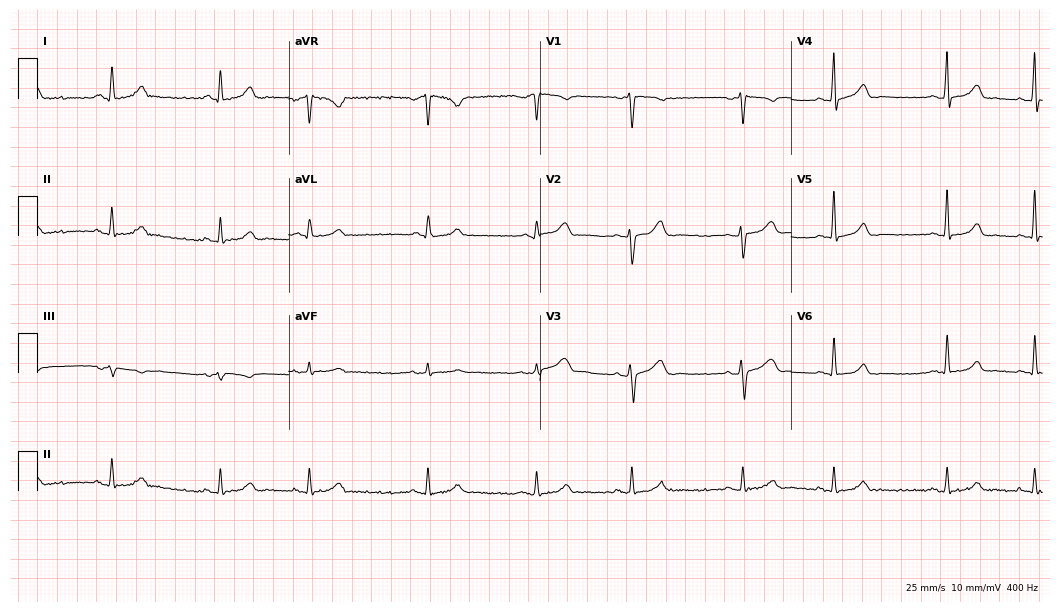
12-lead ECG from a 37-year-old female patient. No first-degree AV block, right bundle branch block (RBBB), left bundle branch block (LBBB), sinus bradycardia, atrial fibrillation (AF) or sinus tachycardia recorded for this tracing.